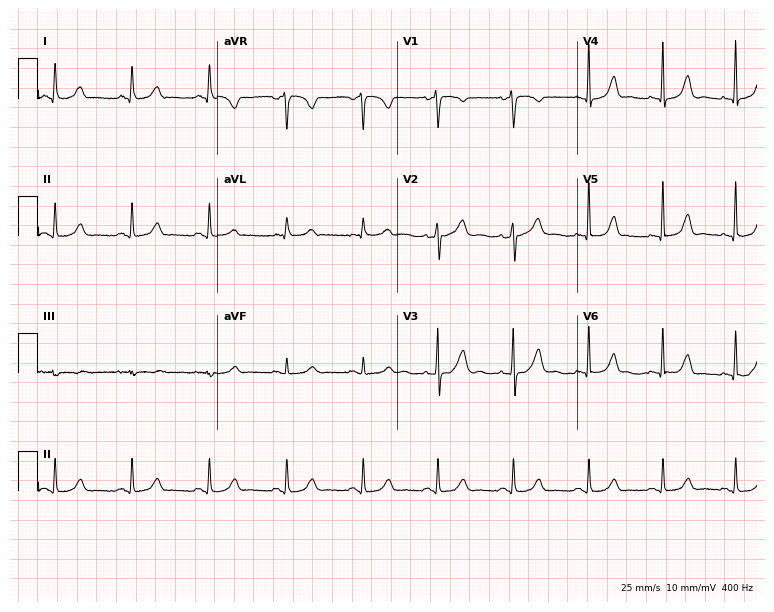
12-lead ECG from a female, 54 years old. Labelled as a normal ECG.